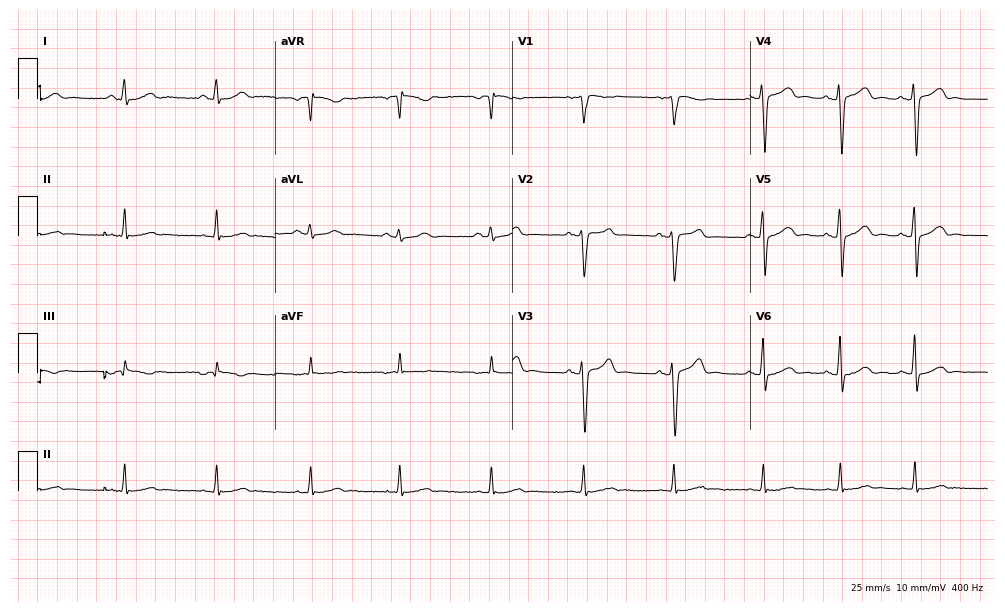
12-lead ECG from a 30-year-old male (9.7-second recording at 400 Hz). Recorded interpretation: within normal limits.